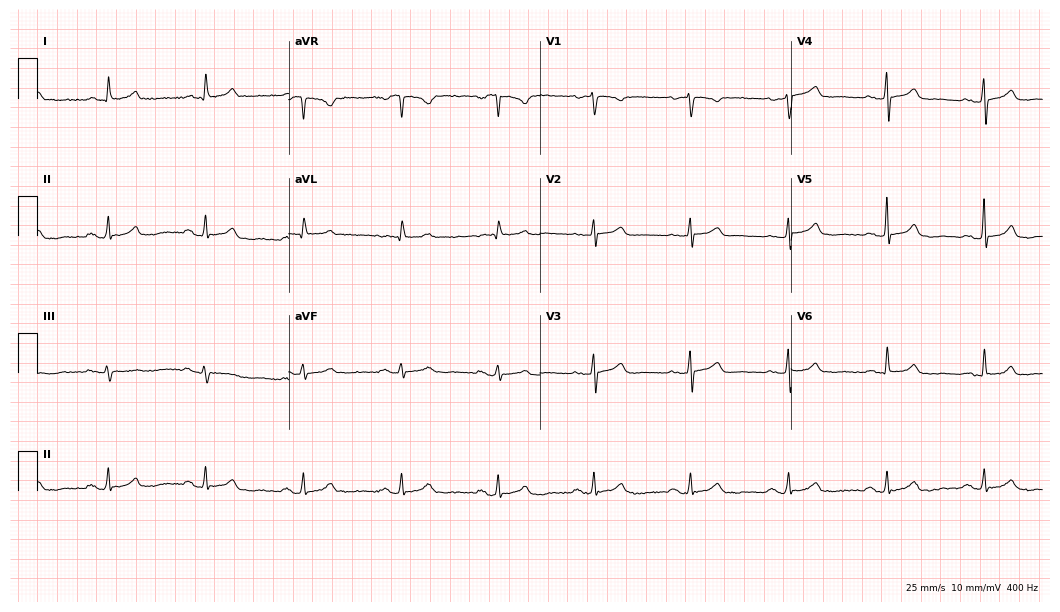
12-lead ECG from a female patient, 66 years old. Recorded interpretation: within normal limits.